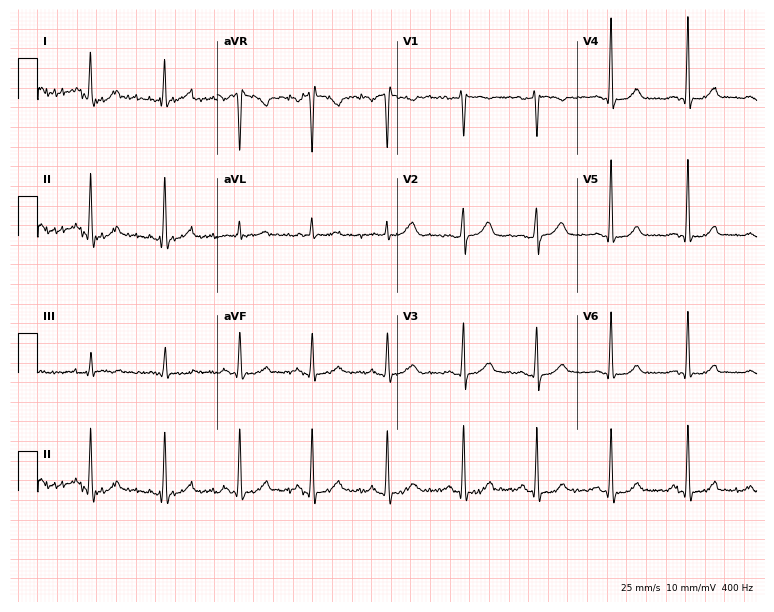
12-lead ECG from a 47-year-old woman. No first-degree AV block, right bundle branch block (RBBB), left bundle branch block (LBBB), sinus bradycardia, atrial fibrillation (AF) or sinus tachycardia recorded for this tracing. Only these six findings were labelled.